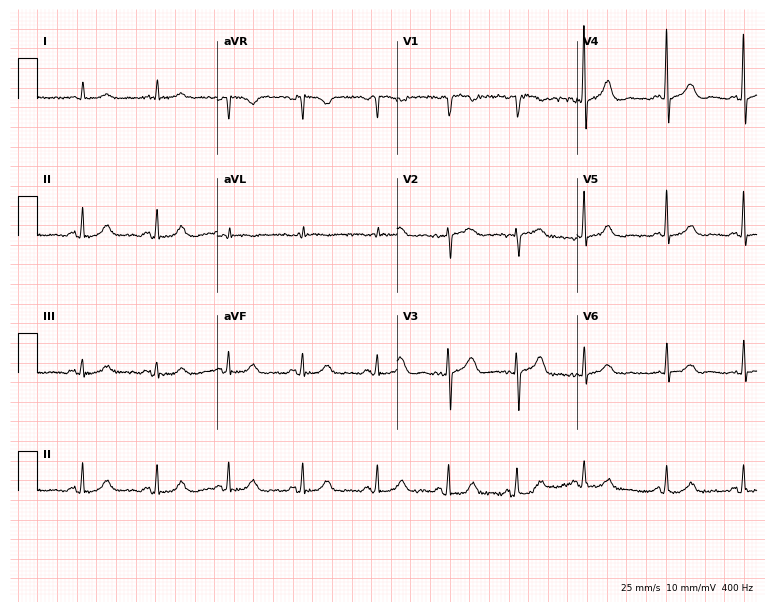
Standard 12-lead ECG recorded from a female patient, 74 years old (7.3-second recording at 400 Hz). Read as a normal ECG.